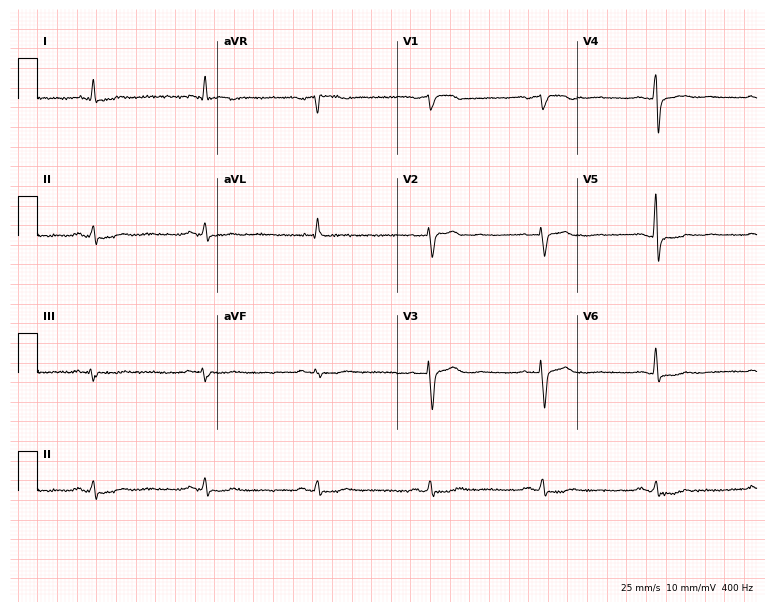
ECG — a female patient, 79 years old. Screened for six findings — first-degree AV block, right bundle branch block, left bundle branch block, sinus bradycardia, atrial fibrillation, sinus tachycardia — none is recorded.